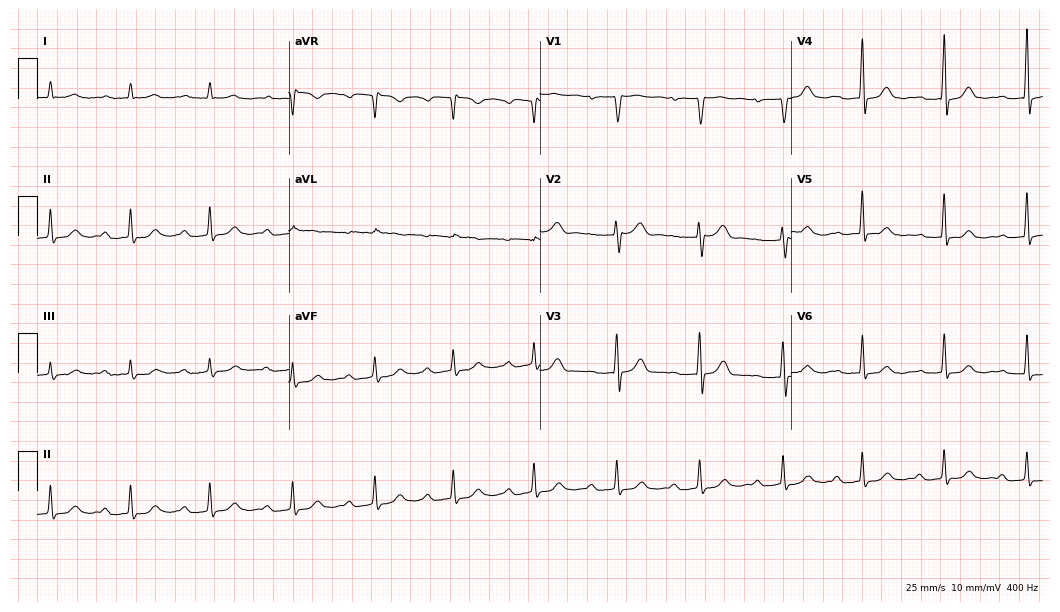
Electrocardiogram, a 55-year-old man. Interpretation includes first-degree AV block.